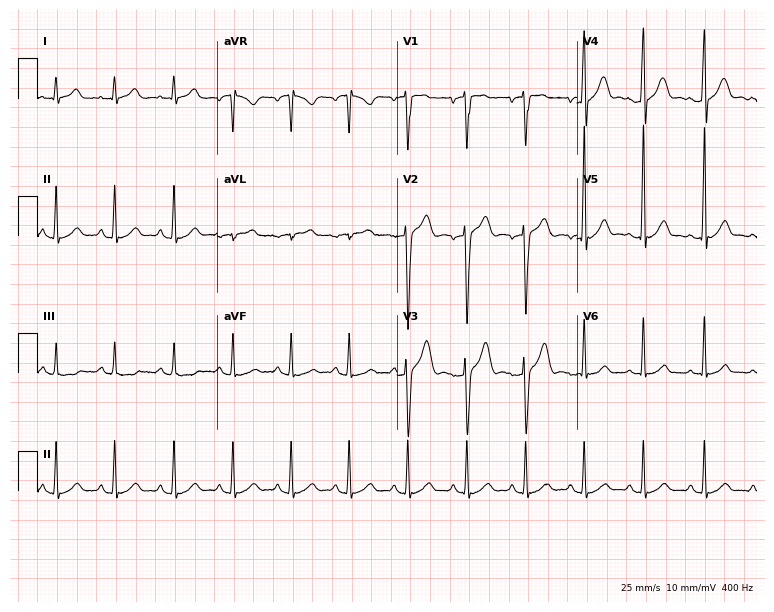
Electrocardiogram (7.3-second recording at 400 Hz), a male, 22 years old. Interpretation includes sinus tachycardia (a sinus rate of 100 beats per minute or more).